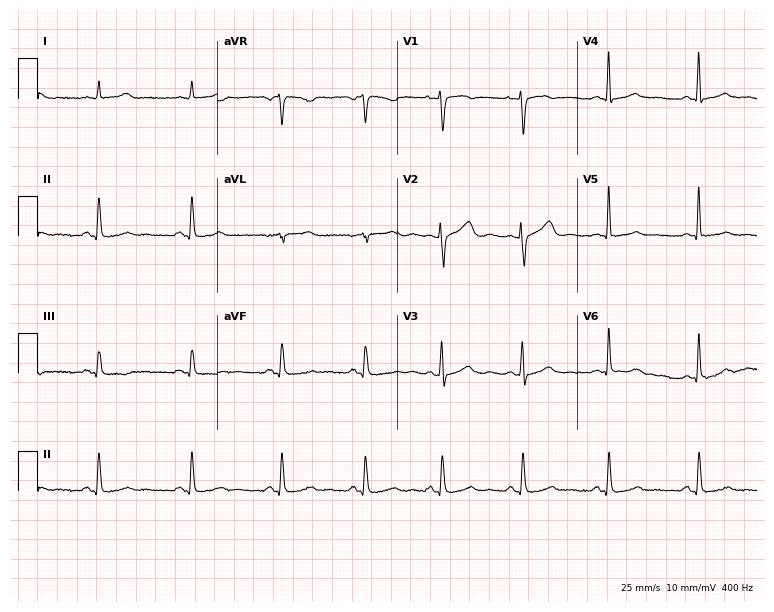
12-lead ECG from a 44-year-old female patient (7.3-second recording at 400 Hz). Recorded interpretation: within normal limits.